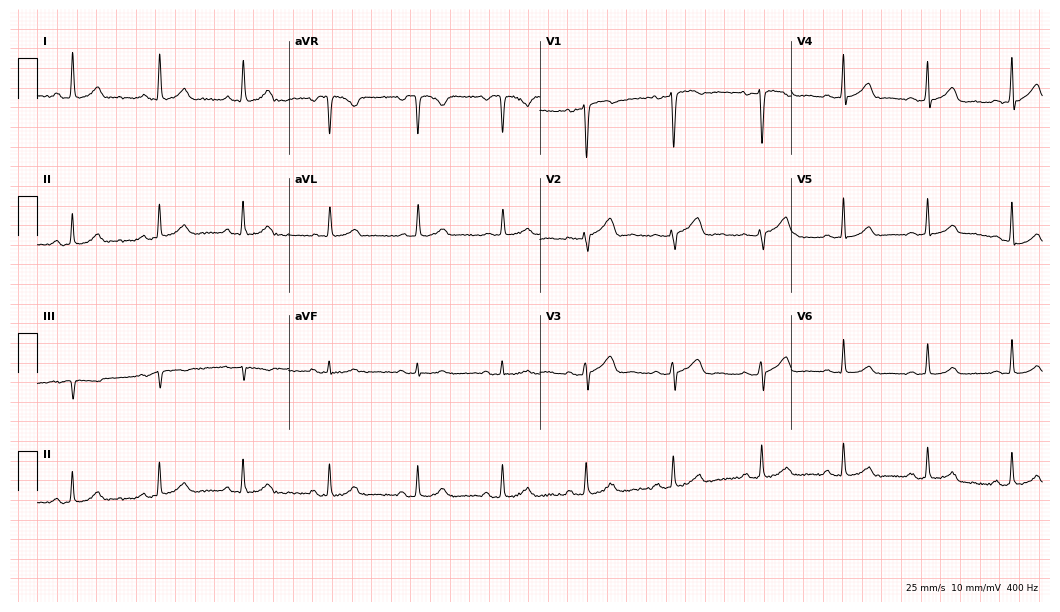
ECG (10.2-second recording at 400 Hz) — a female, 60 years old. Labelled as a normal ECG.